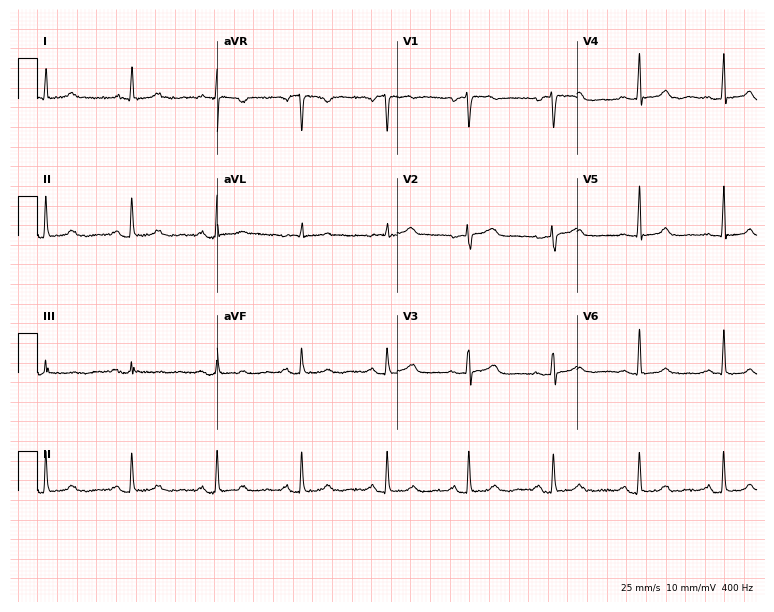
Resting 12-lead electrocardiogram. Patient: a 55-year-old woman. Read as a normal ECG.